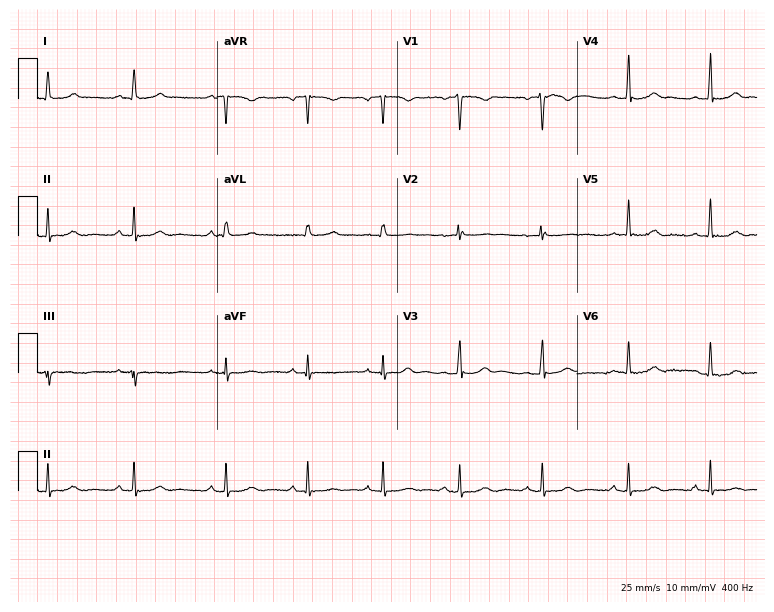
Resting 12-lead electrocardiogram (7.3-second recording at 400 Hz). Patient: a woman, 21 years old. Read as a normal ECG.